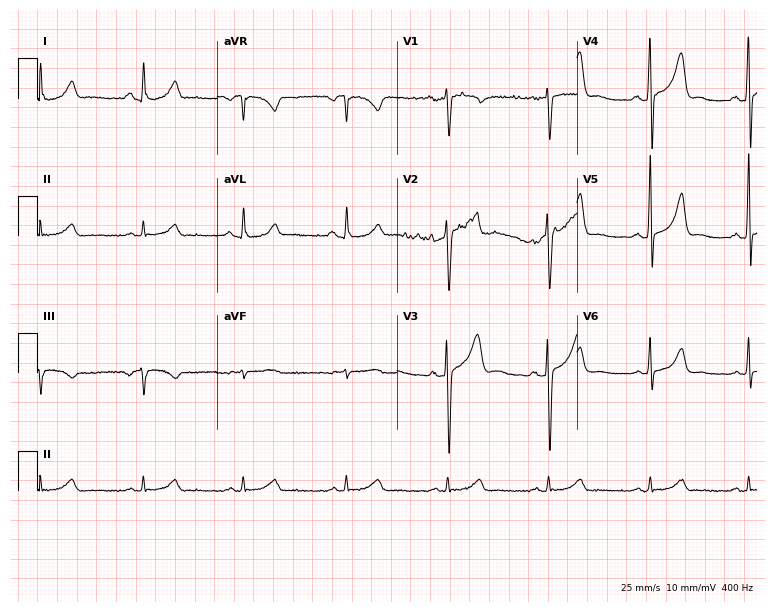
12-lead ECG from a 56-year-old male (7.3-second recording at 400 Hz). Recorded interpretation: within normal limits.